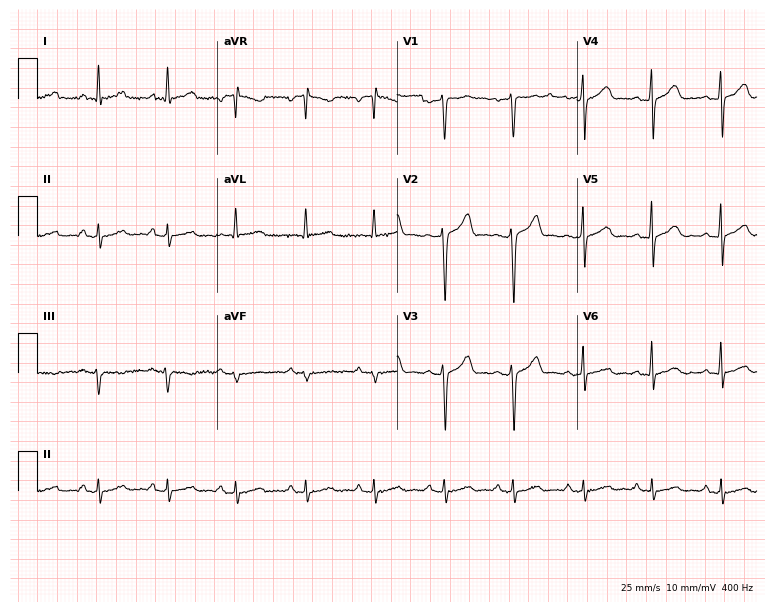
12-lead ECG from a 53-year-old man. No first-degree AV block, right bundle branch block, left bundle branch block, sinus bradycardia, atrial fibrillation or sinus tachycardia recorded for this tracing. Other findings, if any, are not listed.